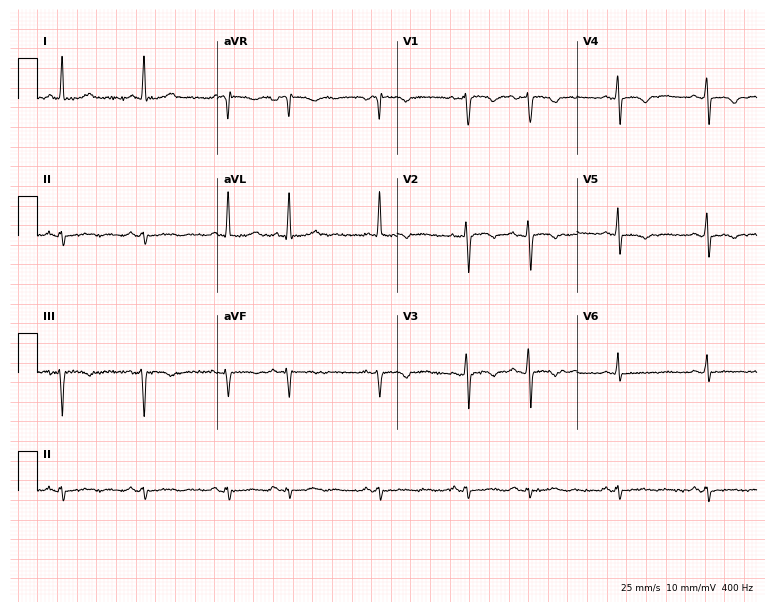
12-lead ECG from a woman, 51 years old. No first-degree AV block, right bundle branch block, left bundle branch block, sinus bradycardia, atrial fibrillation or sinus tachycardia recorded for this tracing.